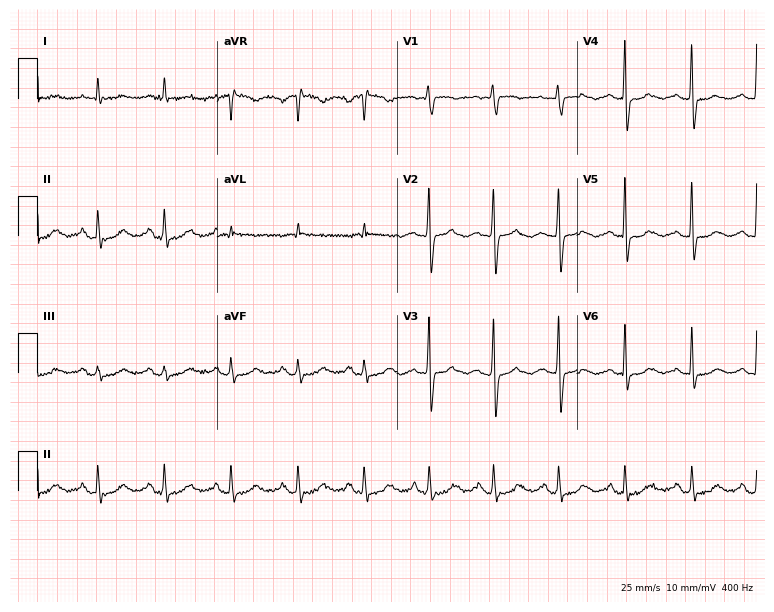
12-lead ECG from a 65-year-old female patient. Recorded interpretation: within normal limits.